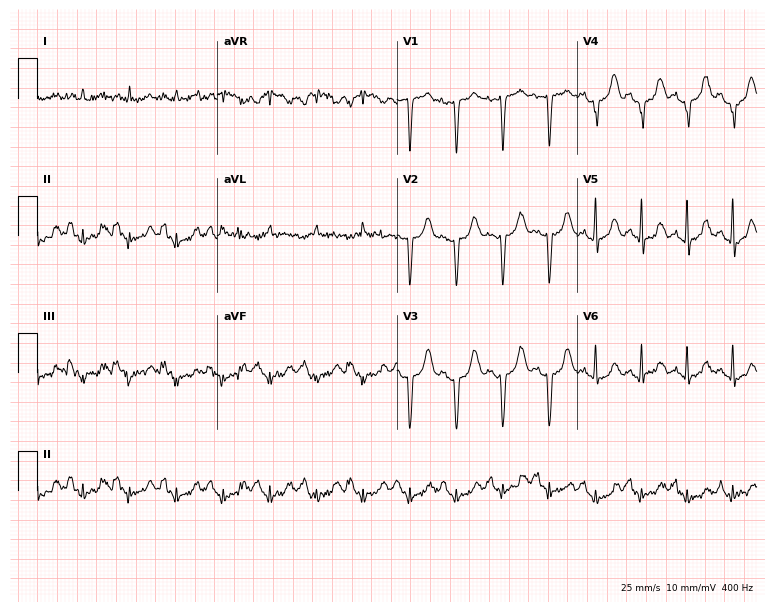
Resting 12-lead electrocardiogram (7.3-second recording at 400 Hz). Patient: a female, 47 years old. None of these six findings is recorded: first-degree AV block, right bundle branch block (RBBB), left bundle branch block (LBBB), sinus bradycardia, atrial fibrillation (AF), sinus tachycardia.